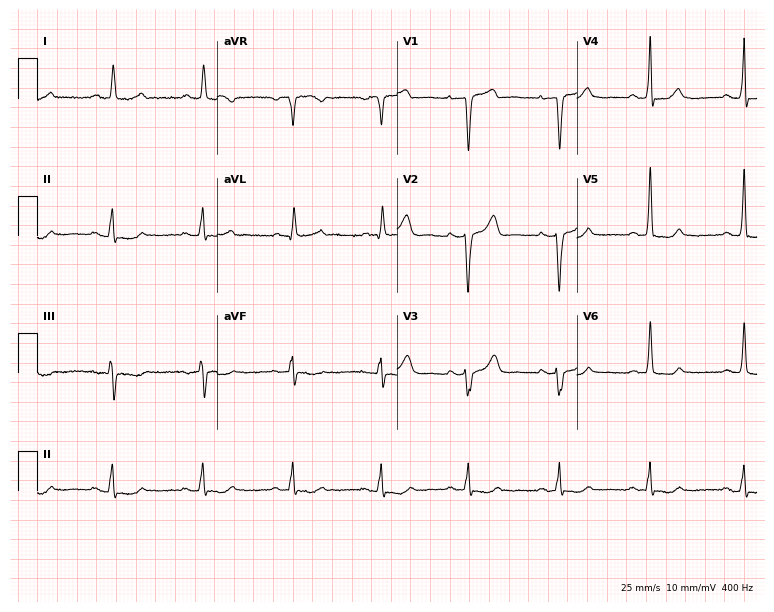
12-lead ECG (7.3-second recording at 400 Hz) from a female patient, 64 years old. Screened for six findings — first-degree AV block, right bundle branch block (RBBB), left bundle branch block (LBBB), sinus bradycardia, atrial fibrillation (AF), sinus tachycardia — none is recorded.